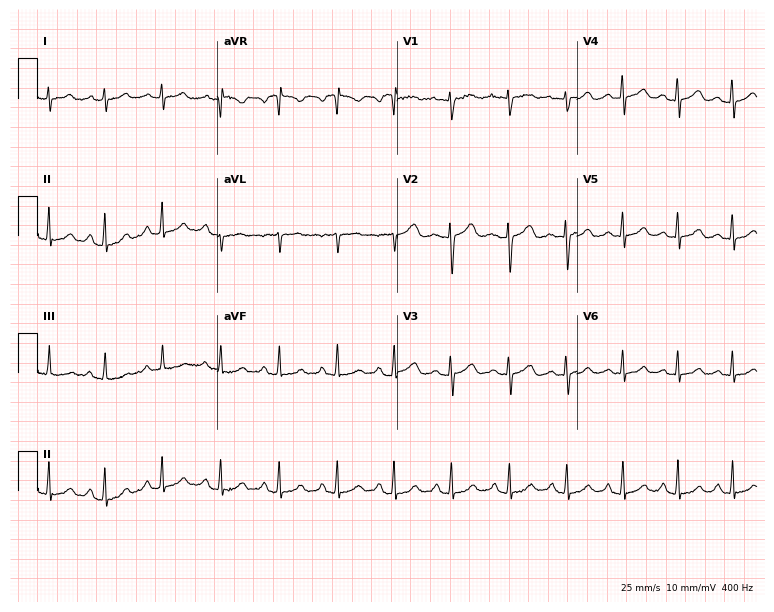
Standard 12-lead ECG recorded from a female patient, 22 years old (7.3-second recording at 400 Hz). The tracing shows sinus tachycardia (a sinus rate of 100 beats per minute or more).